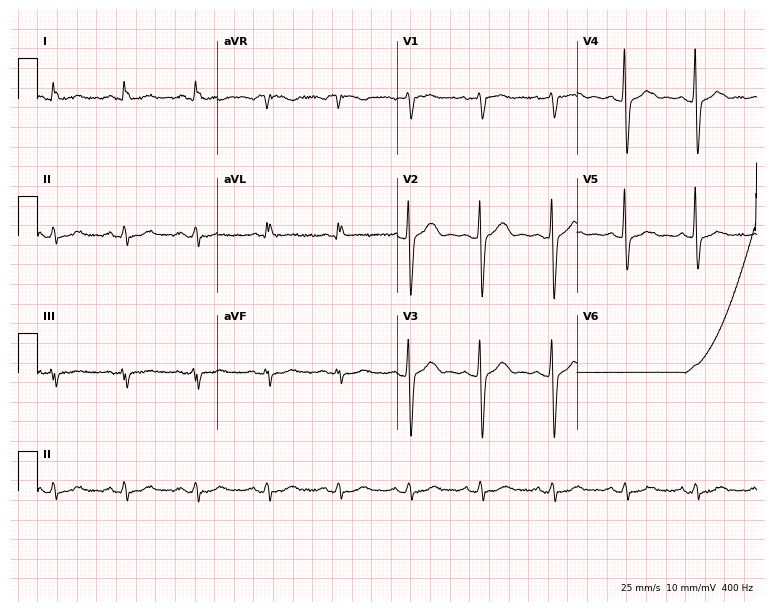
Electrocardiogram (7.3-second recording at 400 Hz), a 65-year-old male. Overall reading on record: normal ECG.